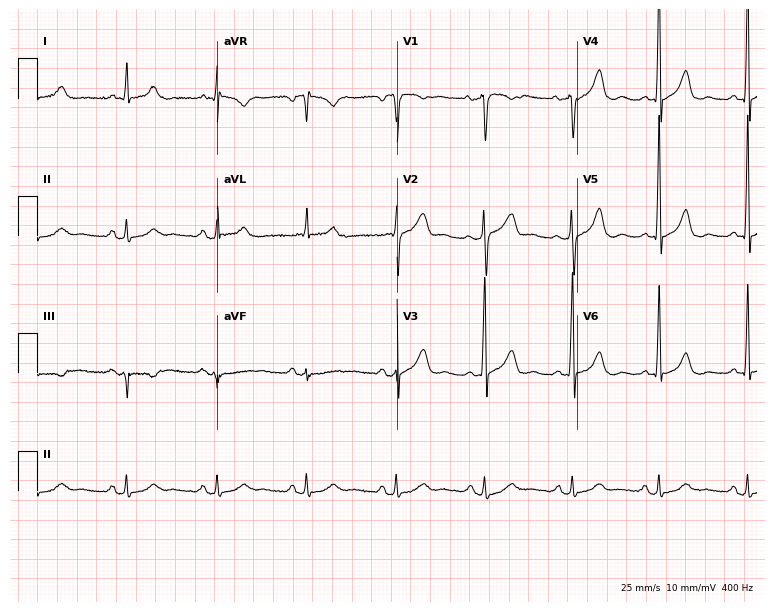
Resting 12-lead electrocardiogram. Patient: a 62-year-old male. Read as a normal ECG.